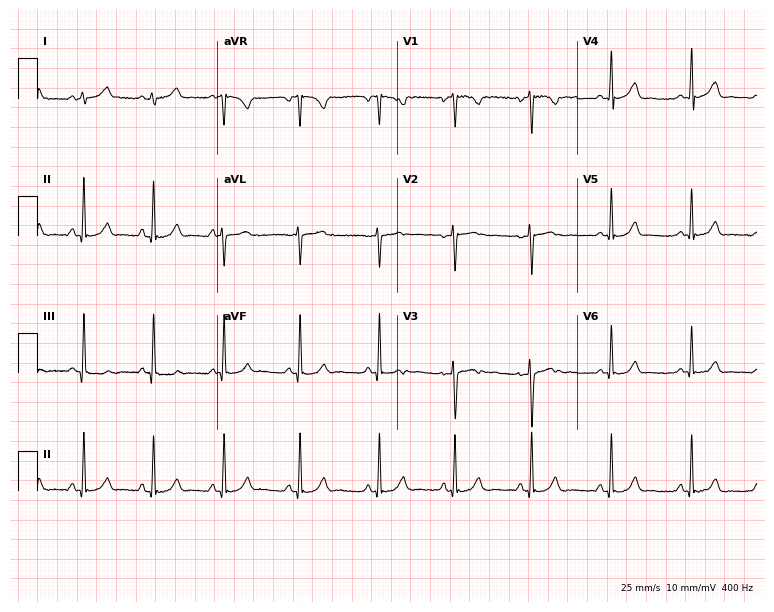
Electrocardiogram (7.3-second recording at 400 Hz), a female patient, 22 years old. Overall reading on record: normal ECG.